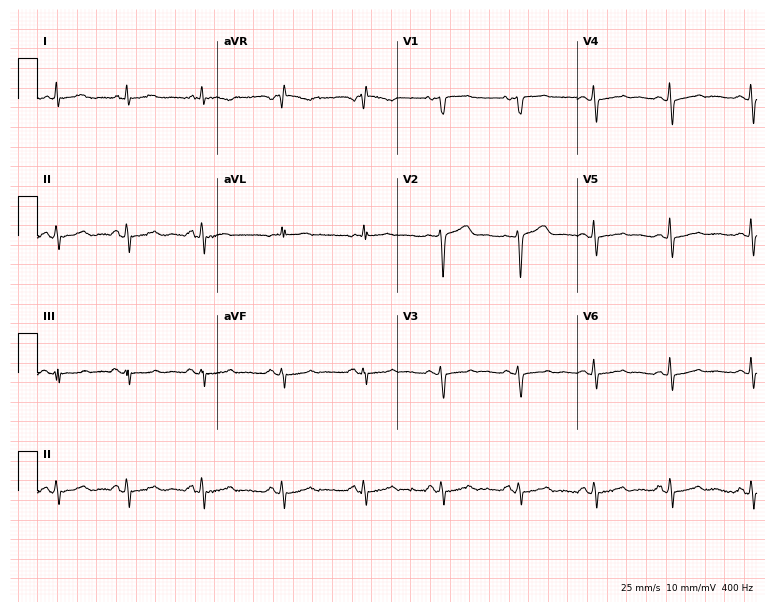
Standard 12-lead ECG recorded from a female, 41 years old. Read as a normal ECG.